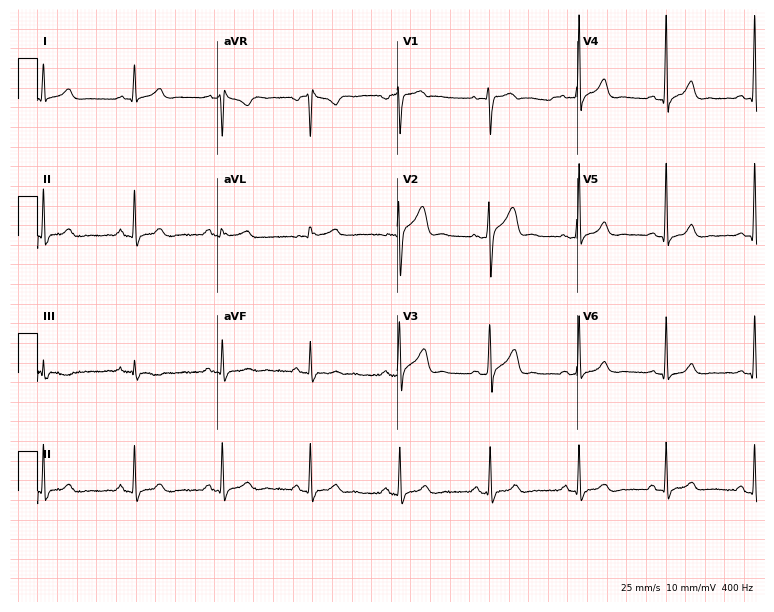
Electrocardiogram, a male, 33 years old. Of the six screened findings (first-degree AV block, right bundle branch block, left bundle branch block, sinus bradycardia, atrial fibrillation, sinus tachycardia), none is recorded. Findings outside these six are not listed.